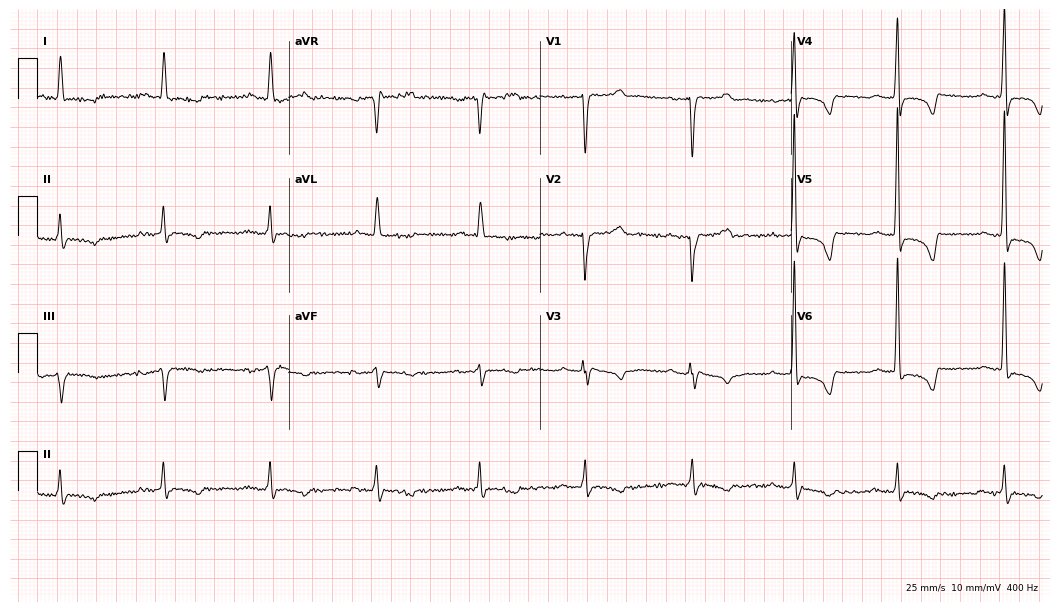
Electrocardiogram, a 79-year-old female patient. Interpretation includes first-degree AV block.